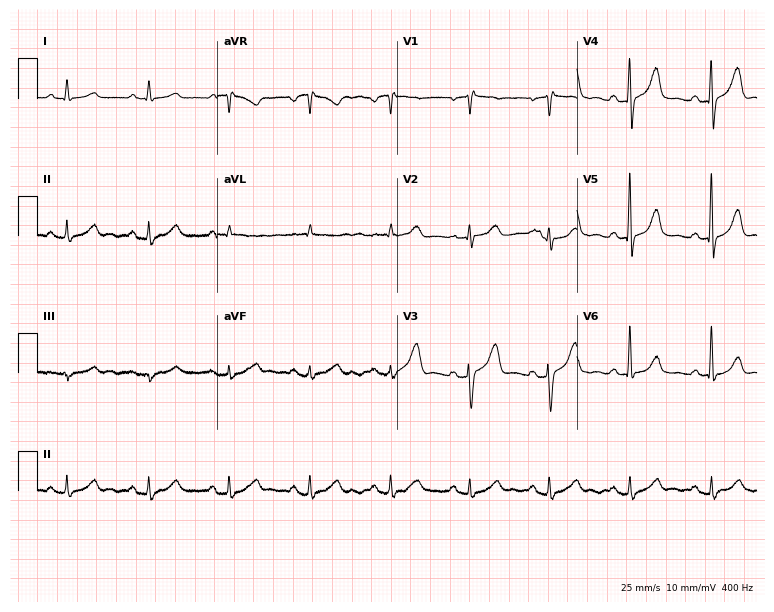
Electrocardiogram (7.3-second recording at 400 Hz), a 68-year-old female. Overall reading on record: normal ECG.